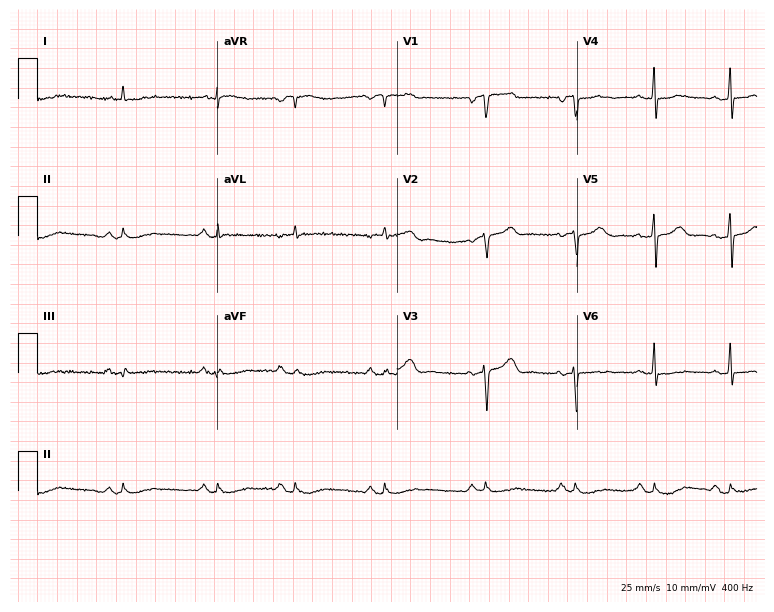
Resting 12-lead electrocardiogram (7.3-second recording at 400 Hz). Patient: a 78-year-old male. None of these six findings is recorded: first-degree AV block, right bundle branch block (RBBB), left bundle branch block (LBBB), sinus bradycardia, atrial fibrillation (AF), sinus tachycardia. Only these six findings were labelled.